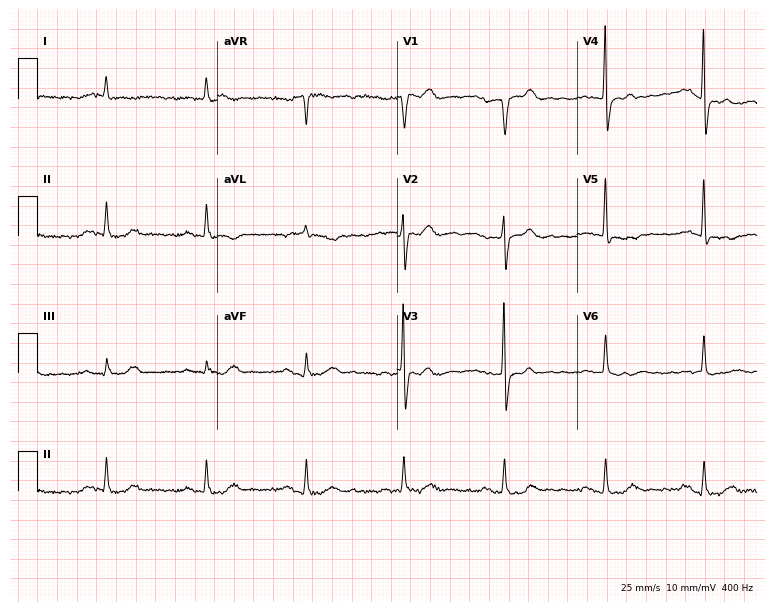
Electrocardiogram (7.3-second recording at 400 Hz), a male patient, 80 years old. Of the six screened findings (first-degree AV block, right bundle branch block (RBBB), left bundle branch block (LBBB), sinus bradycardia, atrial fibrillation (AF), sinus tachycardia), none is recorded.